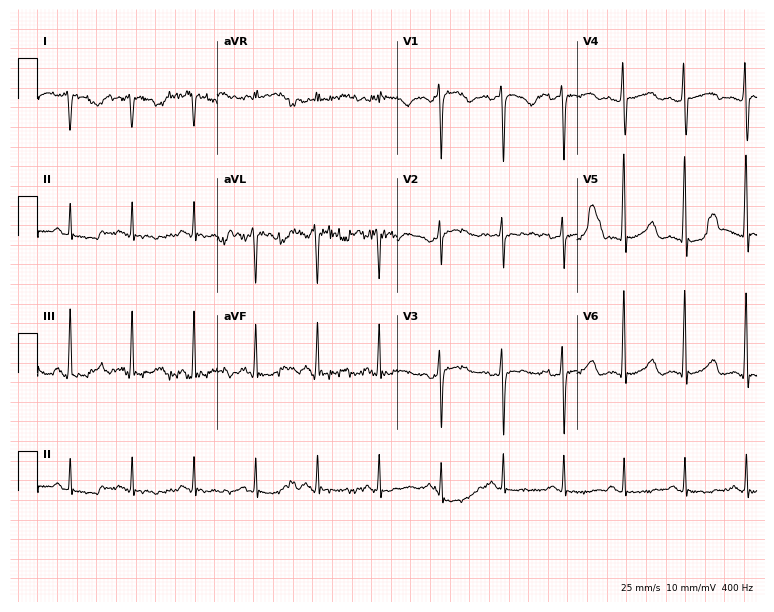
Electrocardiogram, a 36-year-old female patient. Of the six screened findings (first-degree AV block, right bundle branch block (RBBB), left bundle branch block (LBBB), sinus bradycardia, atrial fibrillation (AF), sinus tachycardia), none is recorded.